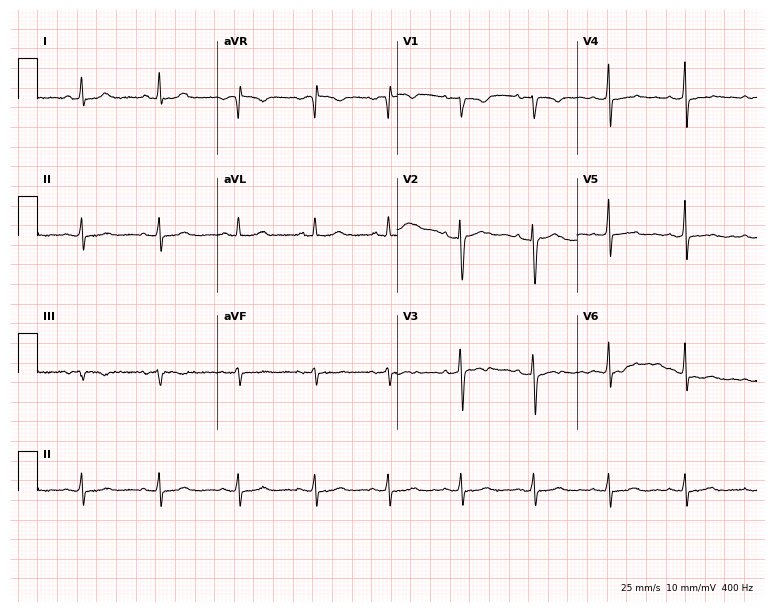
ECG — a woman, 46 years old. Screened for six findings — first-degree AV block, right bundle branch block, left bundle branch block, sinus bradycardia, atrial fibrillation, sinus tachycardia — none is recorded.